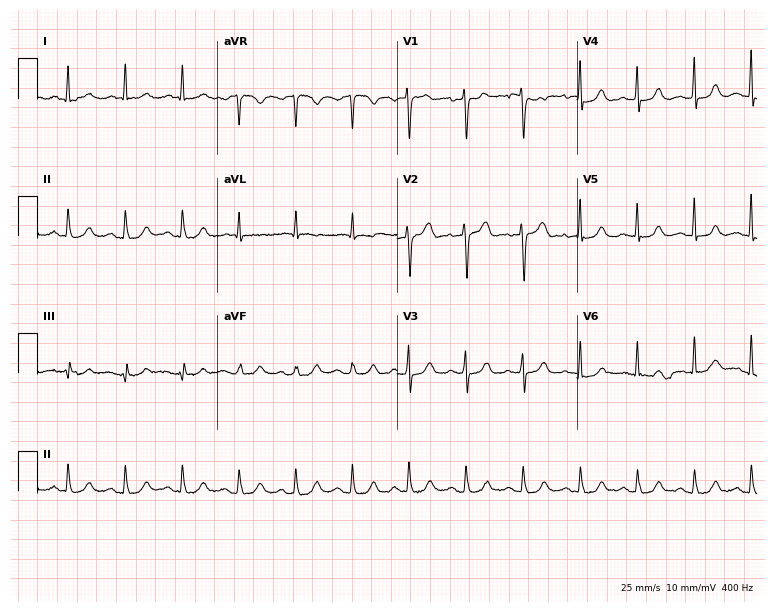
Standard 12-lead ECG recorded from a 72-year-old female (7.3-second recording at 400 Hz). The tracing shows sinus tachycardia (a sinus rate of 100 beats per minute or more).